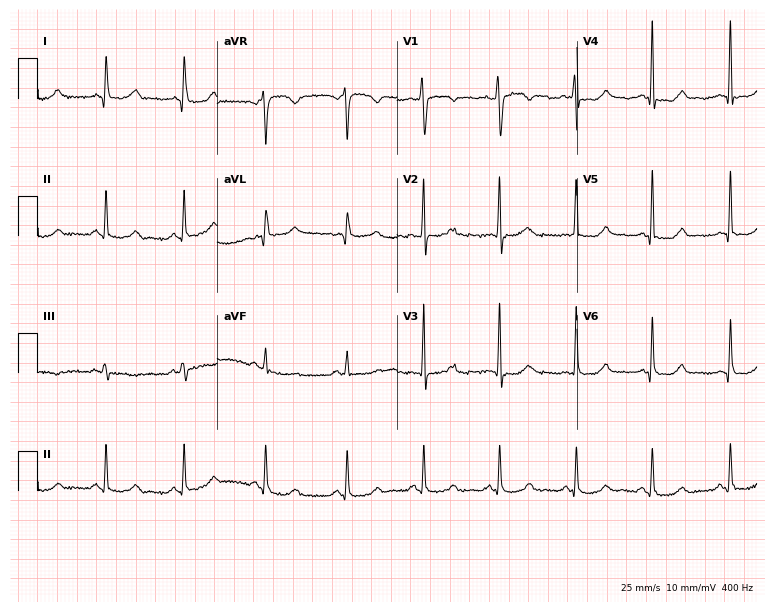
12-lead ECG from a woman, 30 years old. Recorded interpretation: within normal limits.